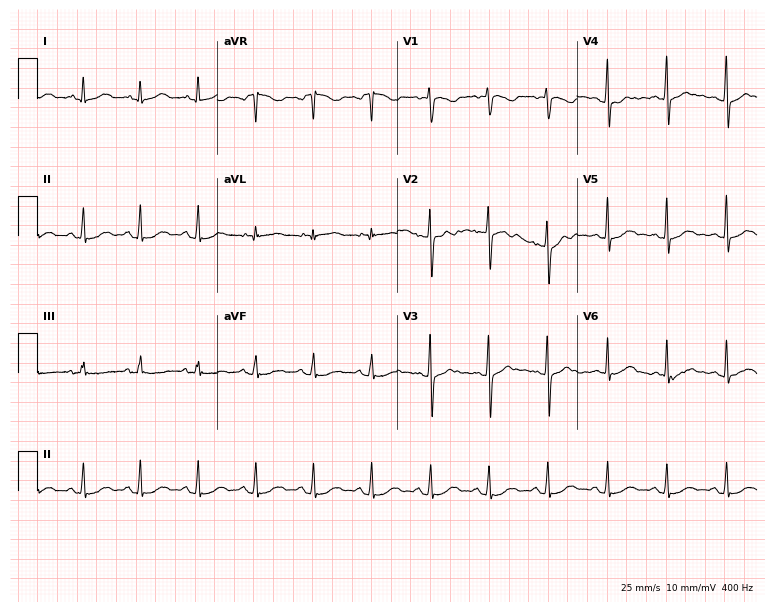
ECG — a woman, 24 years old. Labelled as a normal ECG.